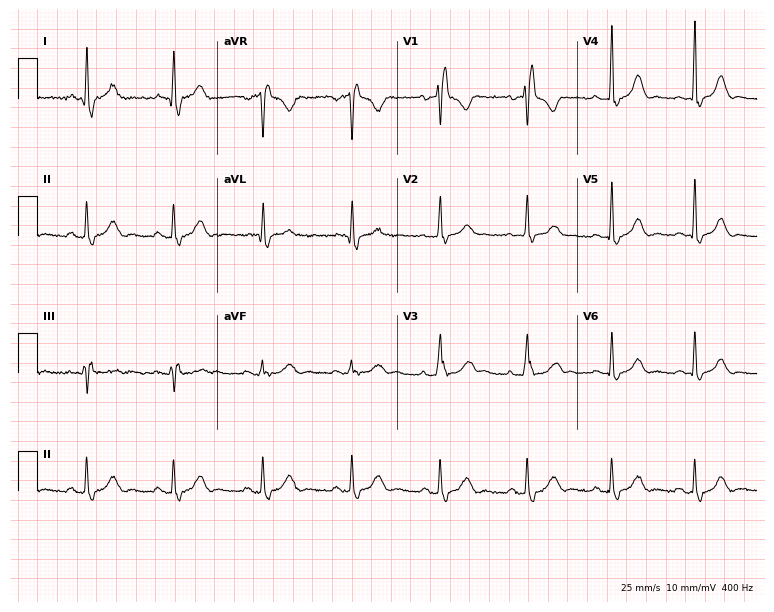
Standard 12-lead ECG recorded from a 53-year-old female patient (7.3-second recording at 400 Hz). The tracing shows right bundle branch block.